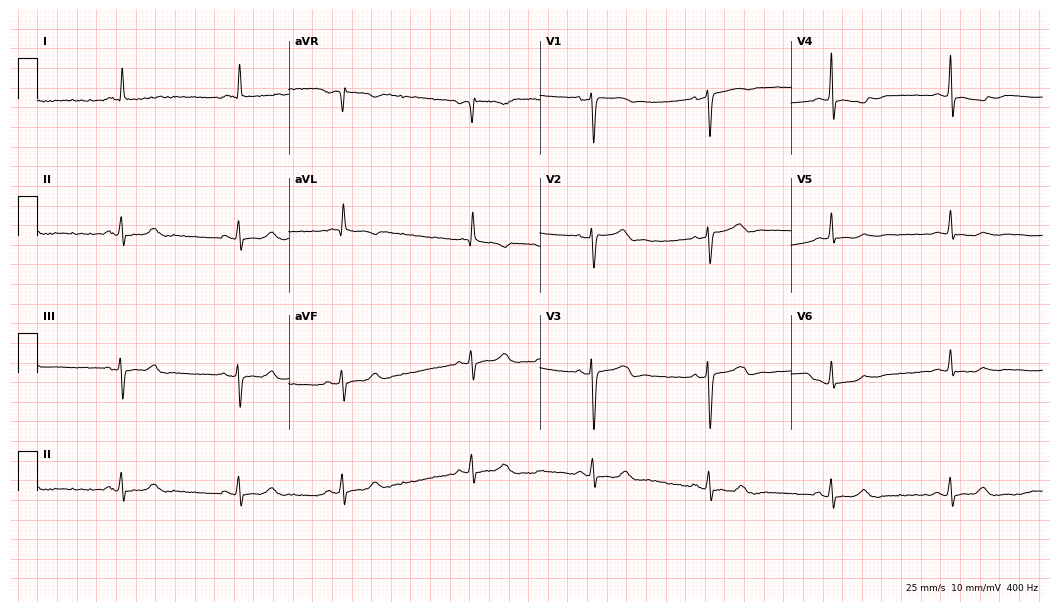
12-lead ECG from a 71-year-old female patient (10.2-second recording at 400 Hz). No first-degree AV block, right bundle branch block (RBBB), left bundle branch block (LBBB), sinus bradycardia, atrial fibrillation (AF) or sinus tachycardia recorded for this tracing. Only these six findings were labelled.